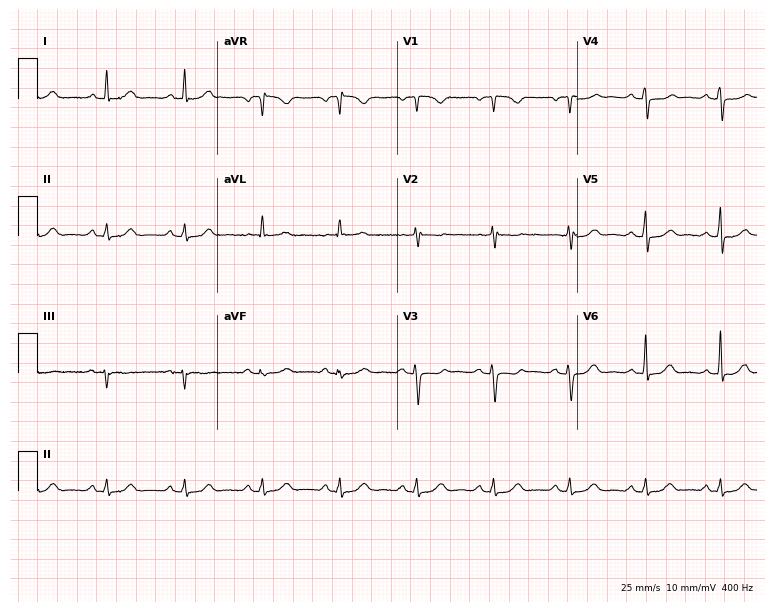
Resting 12-lead electrocardiogram. Patient: a 42-year-old female. Read as a normal ECG.